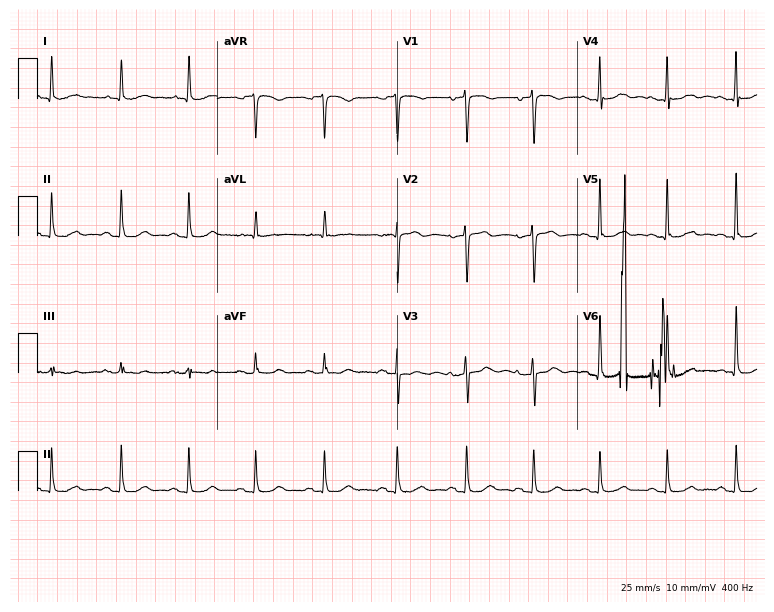
12-lead ECG from a 75-year-old female. Screened for six findings — first-degree AV block, right bundle branch block, left bundle branch block, sinus bradycardia, atrial fibrillation, sinus tachycardia — none is recorded.